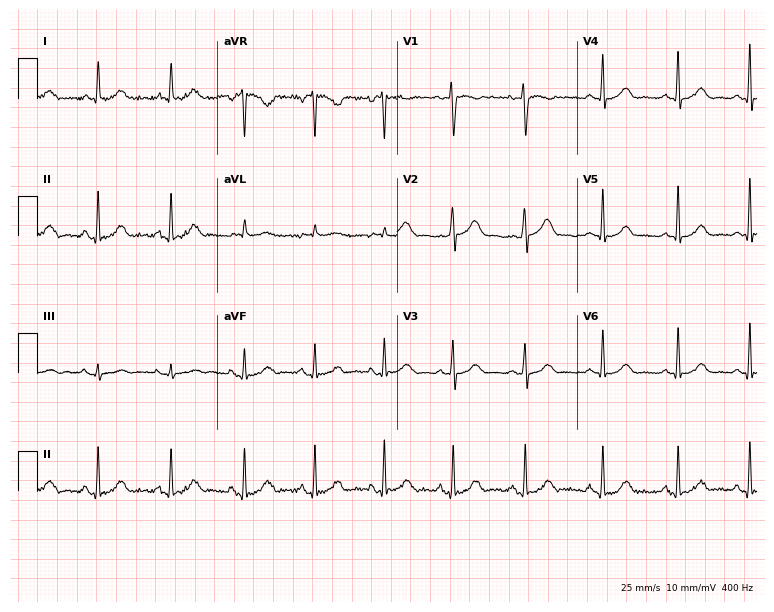
ECG — a female patient, 40 years old. Labelled as a normal ECG.